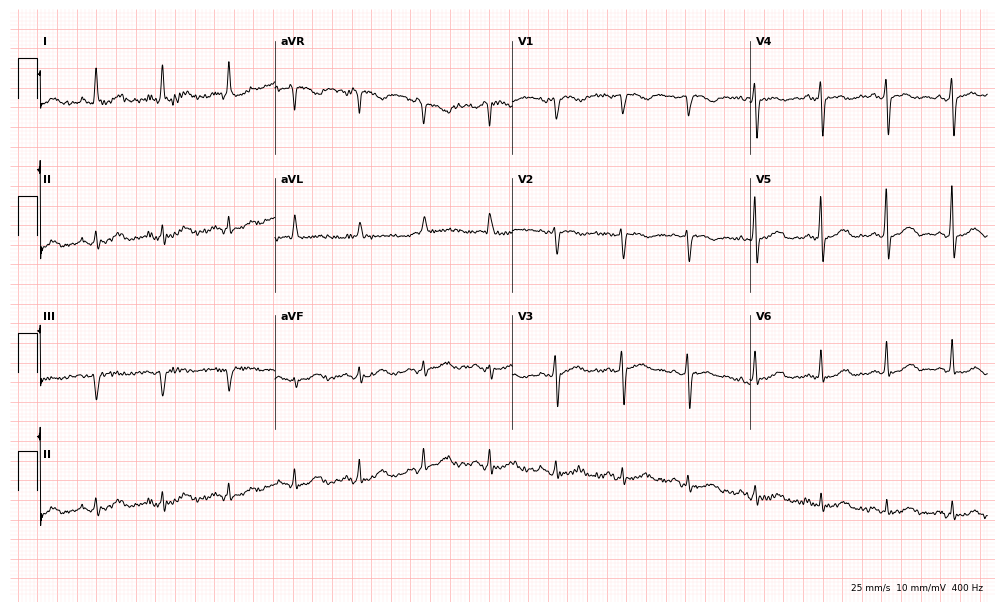
Resting 12-lead electrocardiogram (9.7-second recording at 400 Hz). Patient: a woman, 77 years old. Read as a normal ECG.